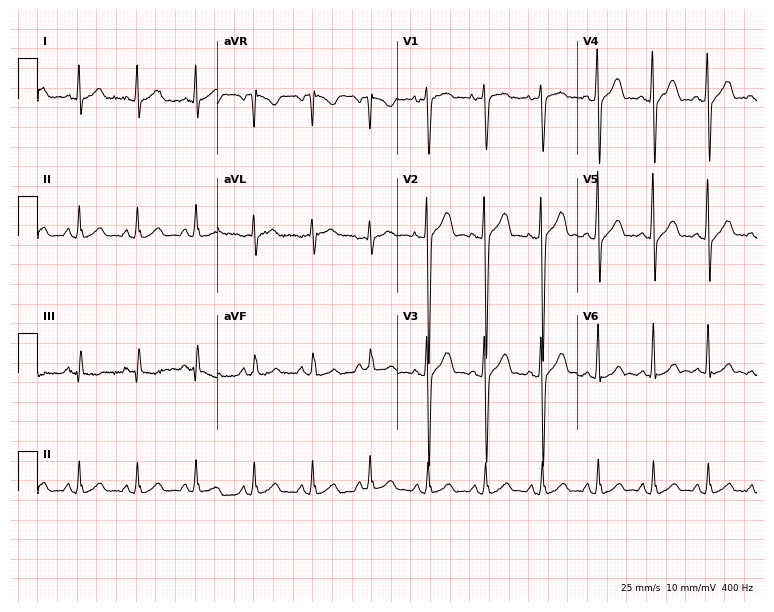
12-lead ECG (7.3-second recording at 400 Hz) from a male, 30 years old. Screened for six findings — first-degree AV block, right bundle branch block (RBBB), left bundle branch block (LBBB), sinus bradycardia, atrial fibrillation (AF), sinus tachycardia — none is recorded. Other findings, if any, are not listed.